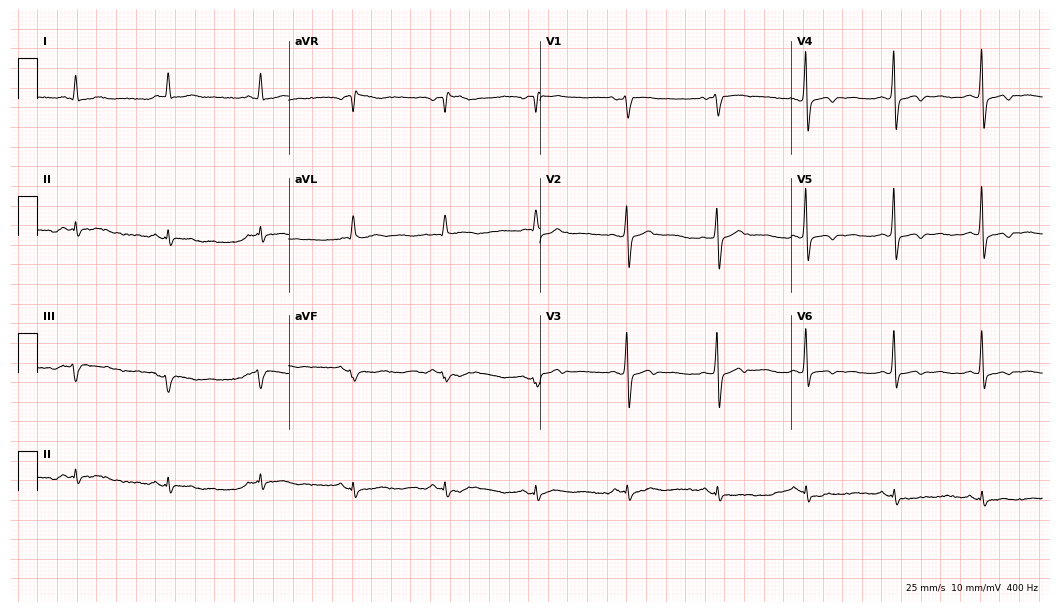
Electrocardiogram (10.2-second recording at 400 Hz), a man, 64 years old. Of the six screened findings (first-degree AV block, right bundle branch block, left bundle branch block, sinus bradycardia, atrial fibrillation, sinus tachycardia), none is recorded. Only these six findings were labelled.